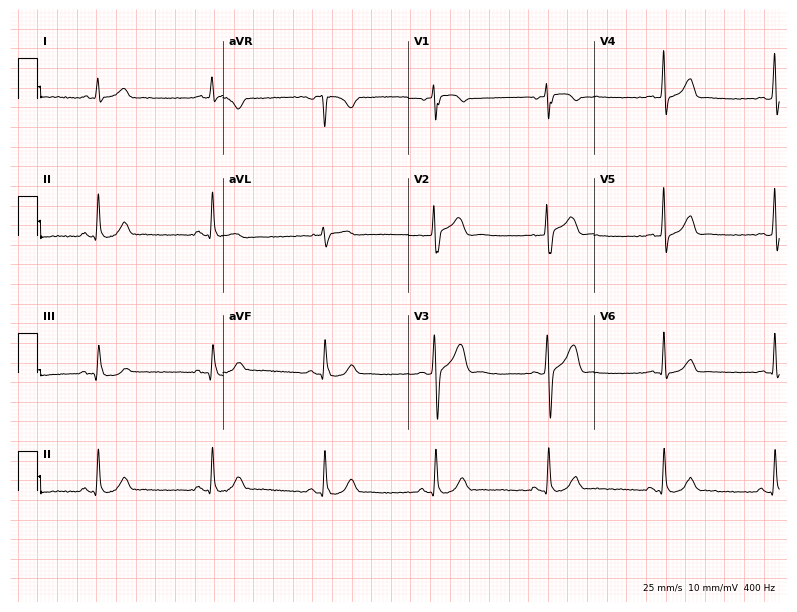
Electrocardiogram, a male patient, 50 years old. Of the six screened findings (first-degree AV block, right bundle branch block (RBBB), left bundle branch block (LBBB), sinus bradycardia, atrial fibrillation (AF), sinus tachycardia), none is recorded. Findings outside these six are not listed.